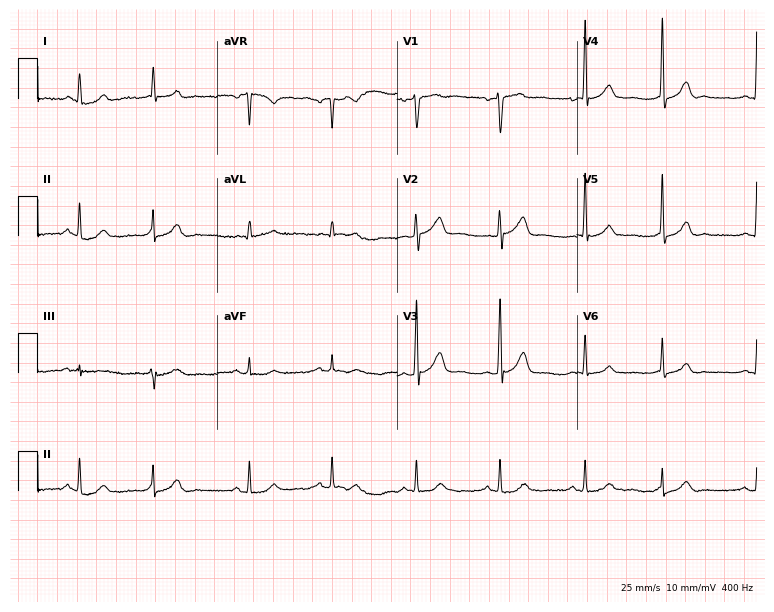
12-lead ECG from a male patient, 64 years old. Labelled as a normal ECG.